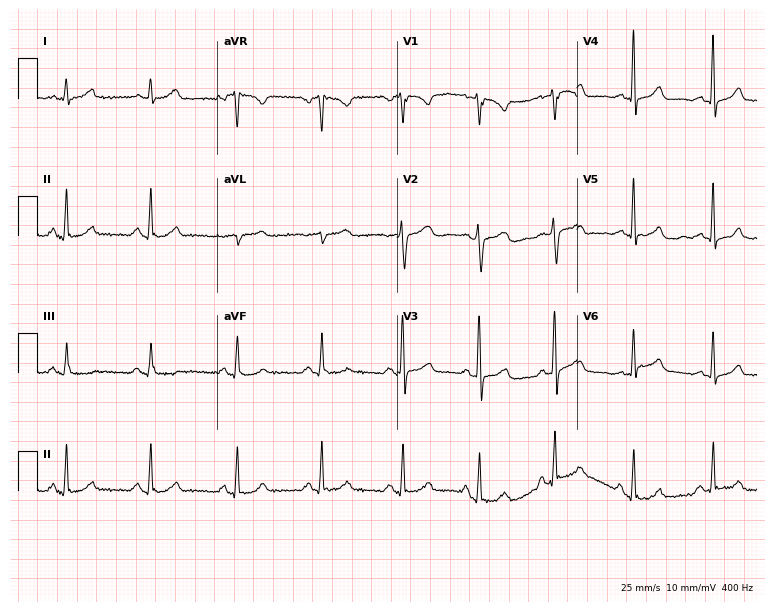
12-lead ECG from a woman, 39 years old. Recorded interpretation: within normal limits.